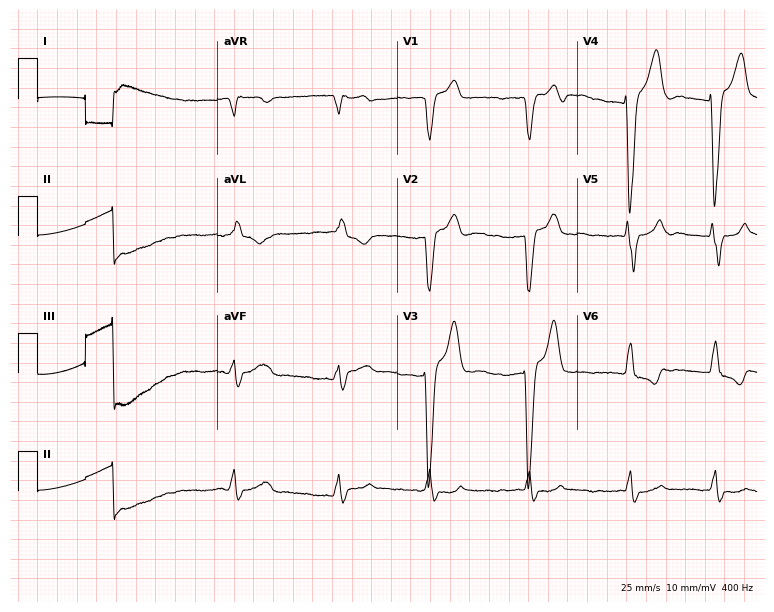
ECG — a 72-year-old man. Findings include atrial fibrillation.